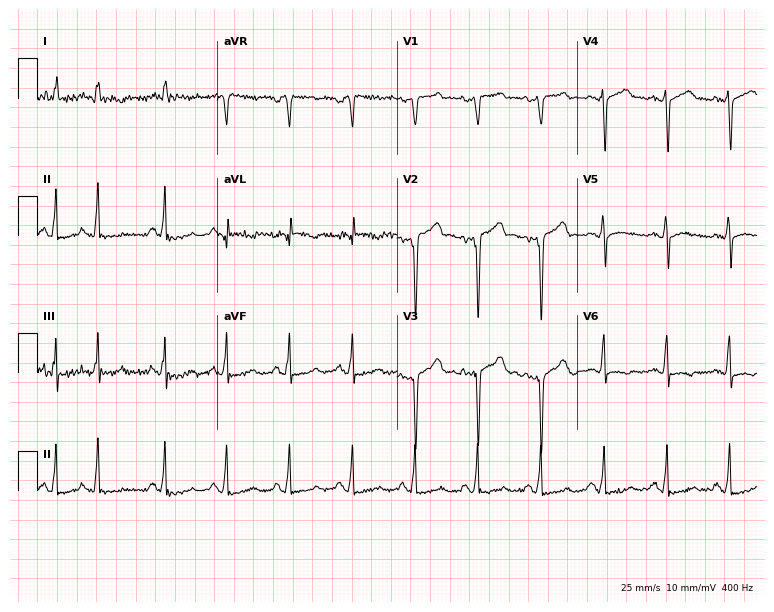
Electrocardiogram, a male patient, 61 years old. Of the six screened findings (first-degree AV block, right bundle branch block, left bundle branch block, sinus bradycardia, atrial fibrillation, sinus tachycardia), none is recorded. Findings outside these six are not listed.